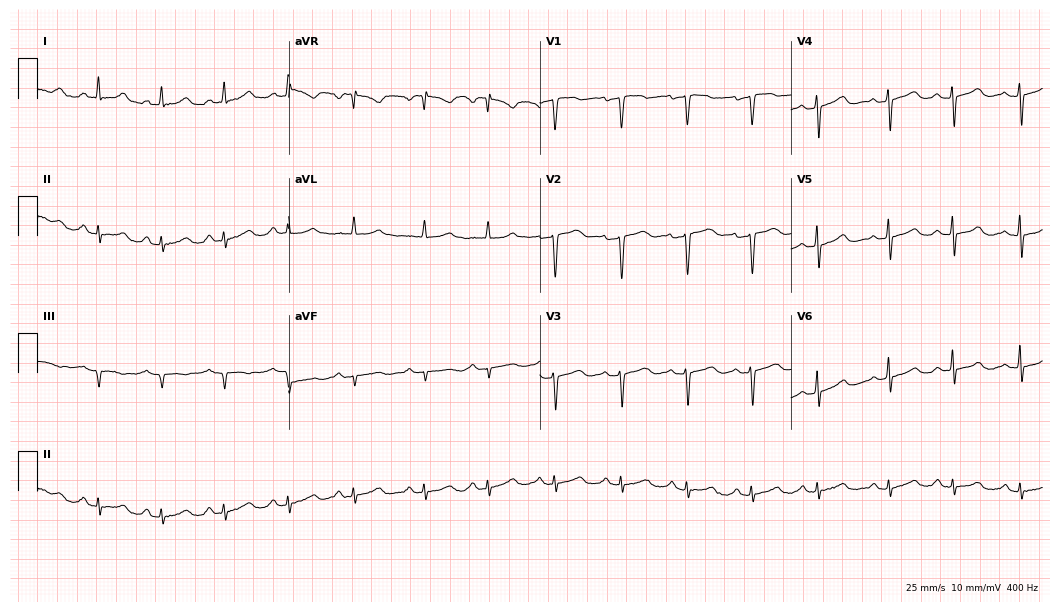
Standard 12-lead ECG recorded from a female, 53 years old. None of these six findings is recorded: first-degree AV block, right bundle branch block, left bundle branch block, sinus bradycardia, atrial fibrillation, sinus tachycardia.